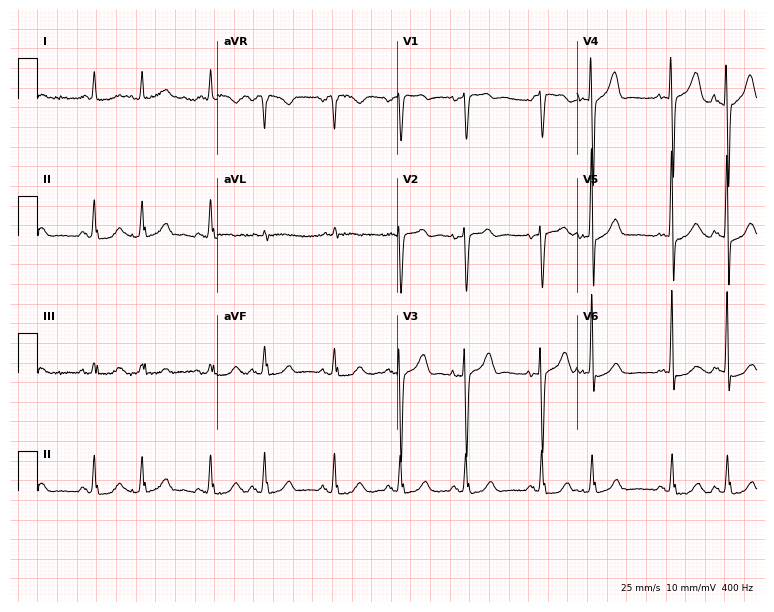
Resting 12-lead electrocardiogram (7.3-second recording at 400 Hz). Patient: a woman, 86 years old. None of these six findings is recorded: first-degree AV block, right bundle branch block, left bundle branch block, sinus bradycardia, atrial fibrillation, sinus tachycardia.